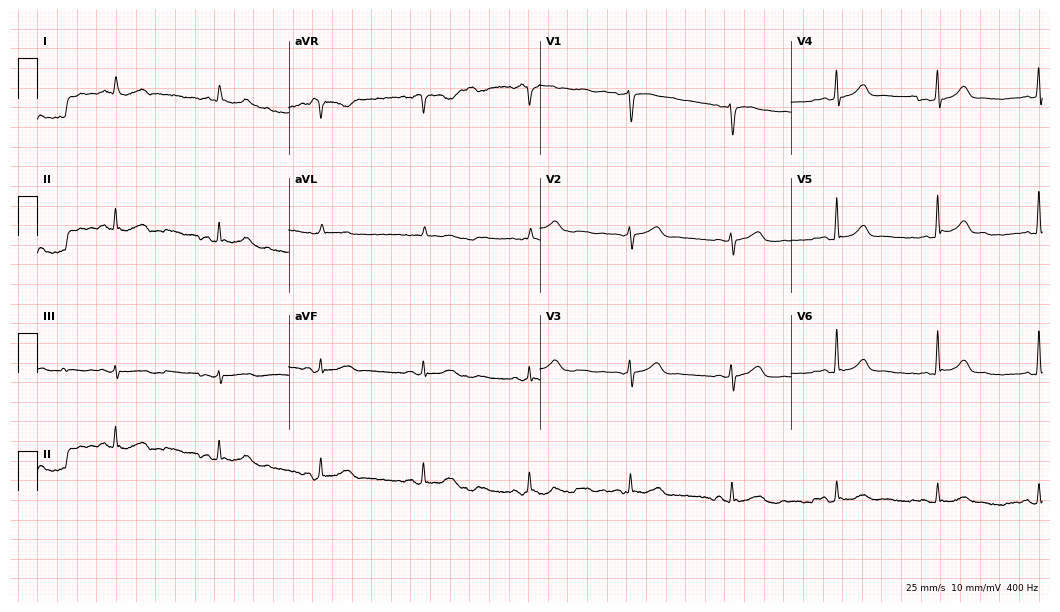
Resting 12-lead electrocardiogram (10.2-second recording at 400 Hz). Patient: a man, 83 years old. Read as a normal ECG.